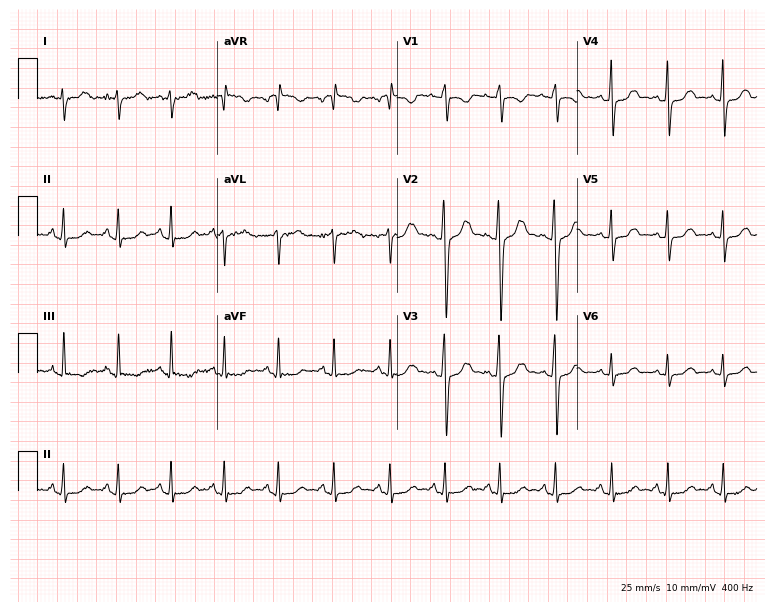
Resting 12-lead electrocardiogram. Patient: a 32-year-old female. The tracing shows sinus tachycardia (a sinus rate of 100 beats per minute or more).